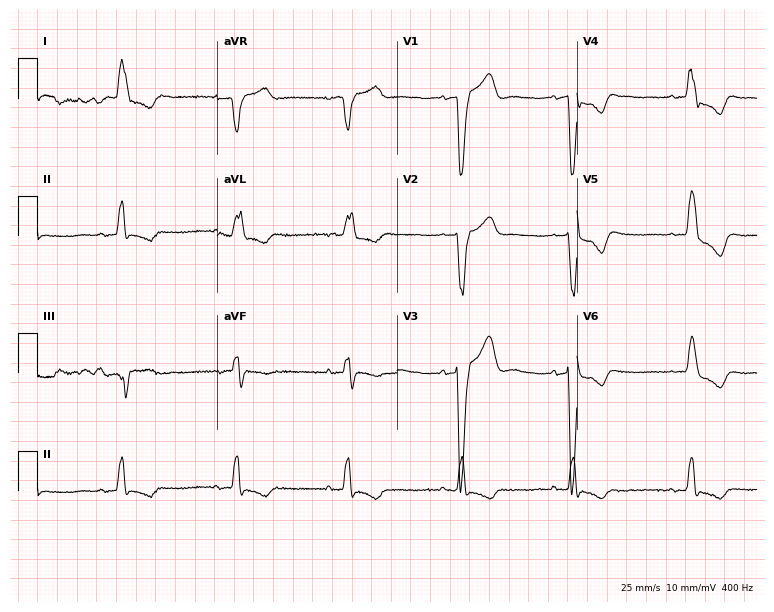
Standard 12-lead ECG recorded from a 78-year-old female (7.3-second recording at 400 Hz). The tracing shows left bundle branch block (LBBB).